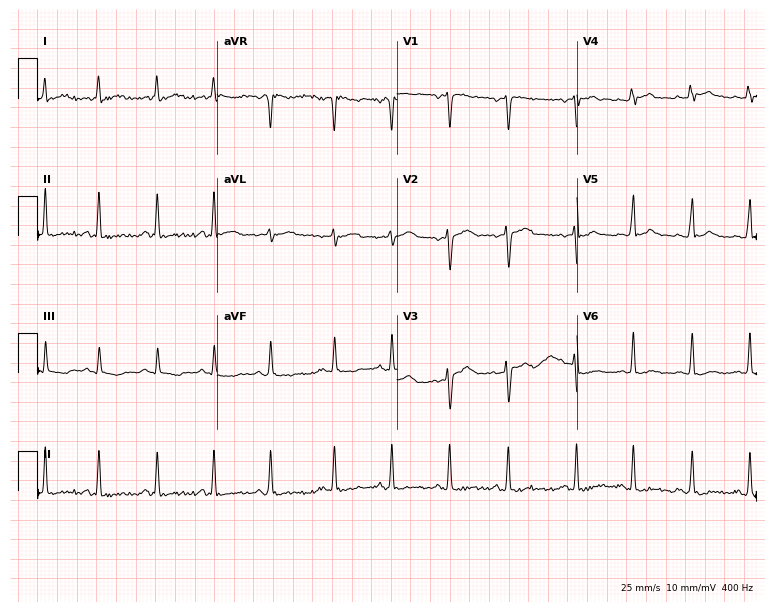
Resting 12-lead electrocardiogram (7.3-second recording at 400 Hz). Patient: a 21-year-old woman. None of these six findings is recorded: first-degree AV block, right bundle branch block, left bundle branch block, sinus bradycardia, atrial fibrillation, sinus tachycardia. Findings outside these six are not listed.